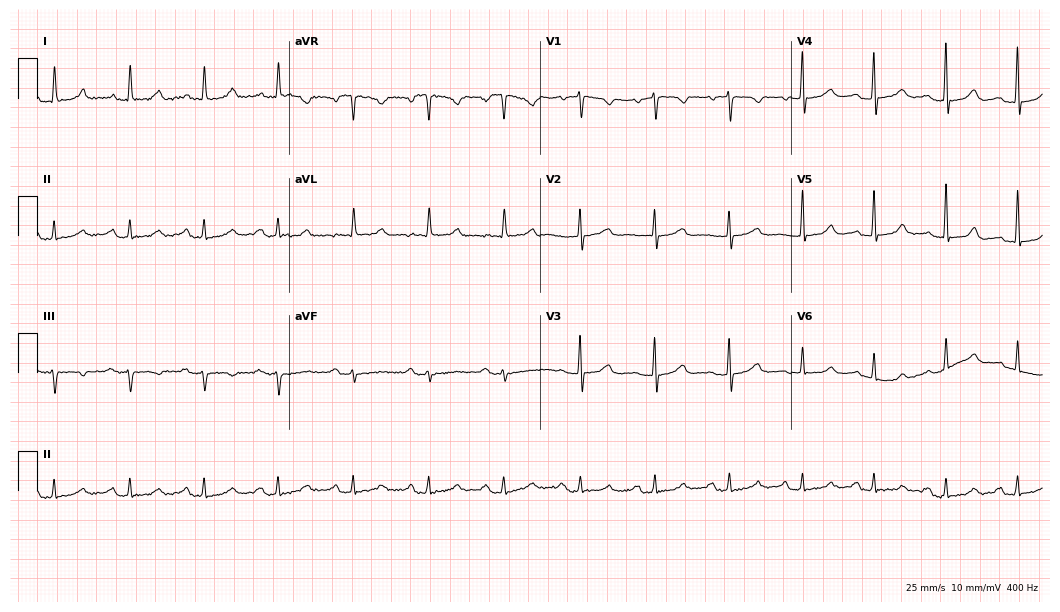
ECG (10.2-second recording at 400 Hz) — a female, 77 years old. Screened for six findings — first-degree AV block, right bundle branch block (RBBB), left bundle branch block (LBBB), sinus bradycardia, atrial fibrillation (AF), sinus tachycardia — none is recorded.